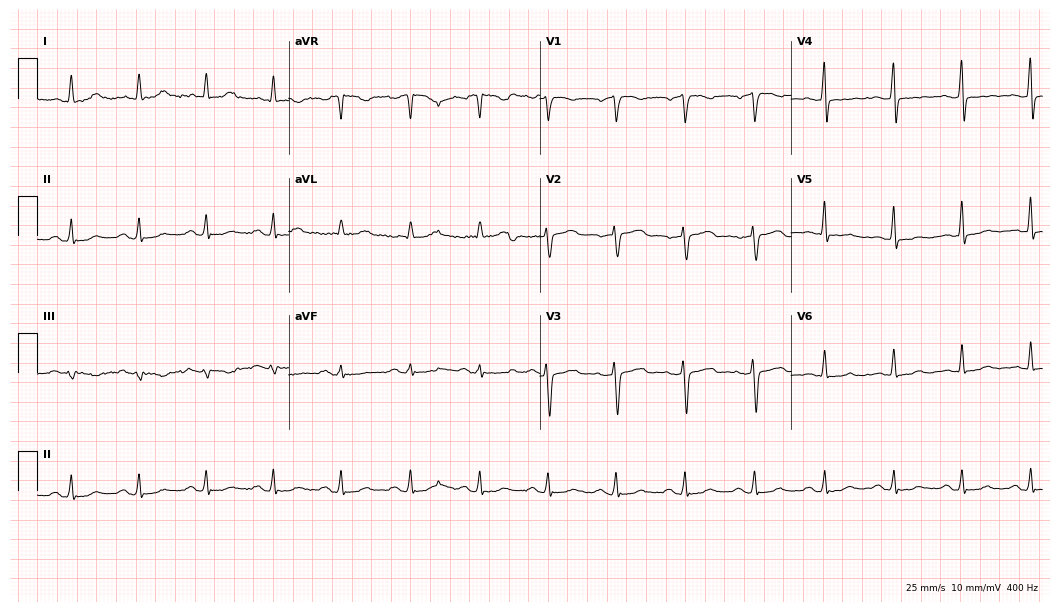
Resting 12-lead electrocardiogram. Patient: a 63-year-old female. None of these six findings is recorded: first-degree AV block, right bundle branch block (RBBB), left bundle branch block (LBBB), sinus bradycardia, atrial fibrillation (AF), sinus tachycardia. Only these six findings were labelled.